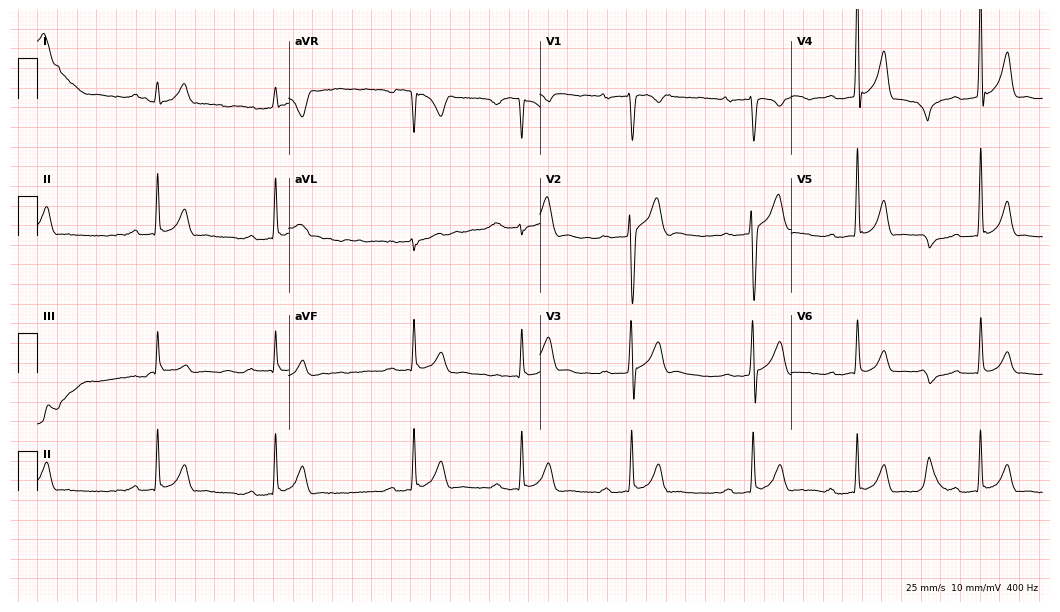
12-lead ECG from a 26-year-old male (10.2-second recording at 400 Hz). Shows first-degree AV block, right bundle branch block, sinus bradycardia (a sinus rate of 50 beats per minute or less).